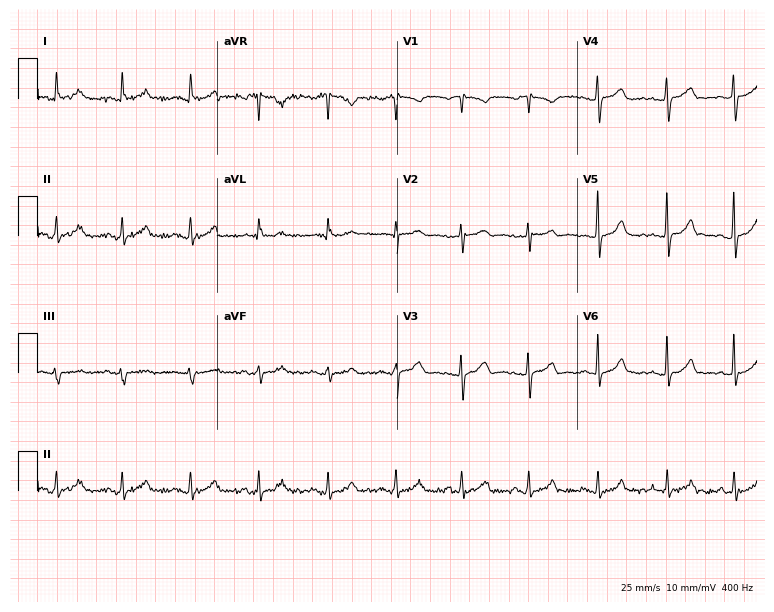
12-lead ECG from a 46-year-old female patient (7.3-second recording at 400 Hz). Recorded interpretation: within normal limits.